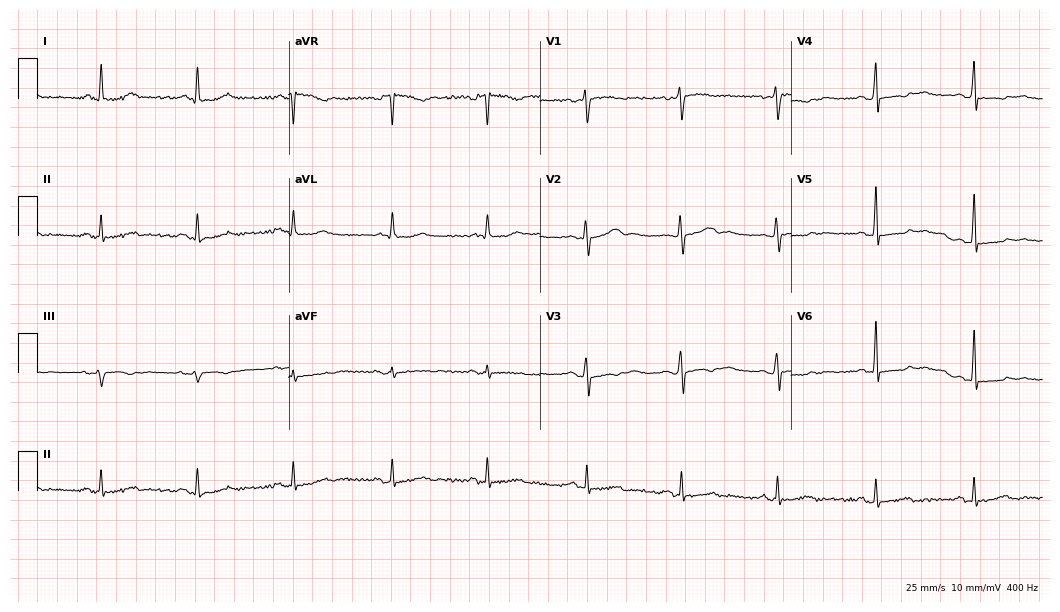
Resting 12-lead electrocardiogram. Patient: a 60-year-old female. None of these six findings is recorded: first-degree AV block, right bundle branch block, left bundle branch block, sinus bradycardia, atrial fibrillation, sinus tachycardia. Other findings, if any, are not listed.